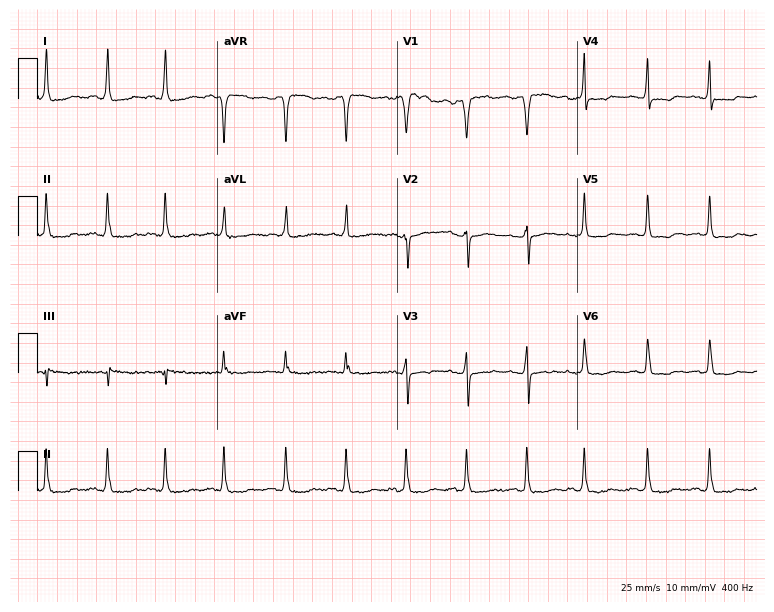
ECG (7.3-second recording at 400 Hz) — a female patient, 49 years old. Screened for six findings — first-degree AV block, right bundle branch block, left bundle branch block, sinus bradycardia, atrial fibrillation, sinus tachycardia — none is recorded.